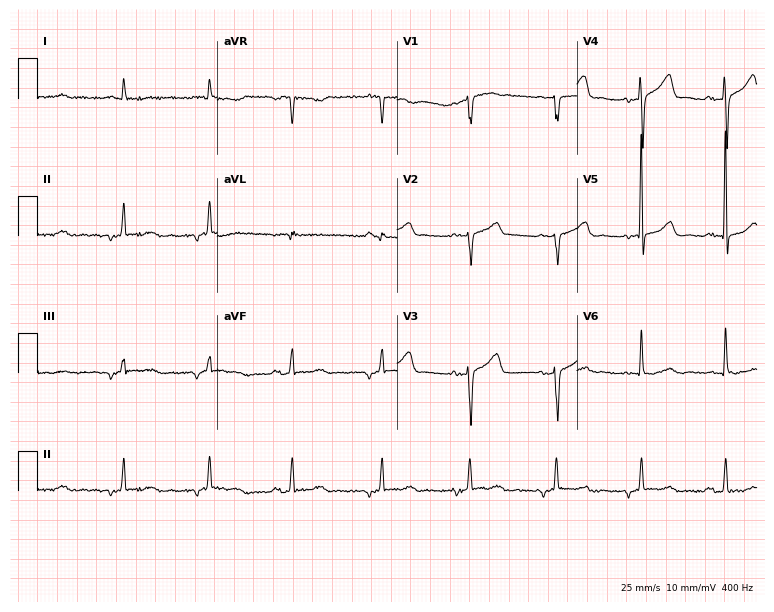
12-lead ECG from a female patient, 69 years old. Screened for six findings — first-degree AV block, right bundle branch block, left bundle branch block, sinus bradycardia, atrial fibrillation, sinus tachycardia — none is recorded.